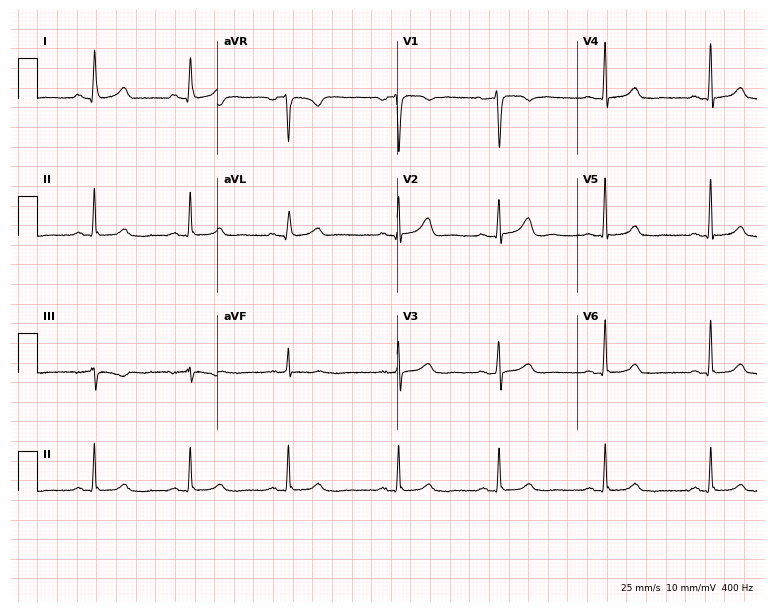
12-lead ECG from a woman, 52 years old. Recorded interpretation: within normal limits.